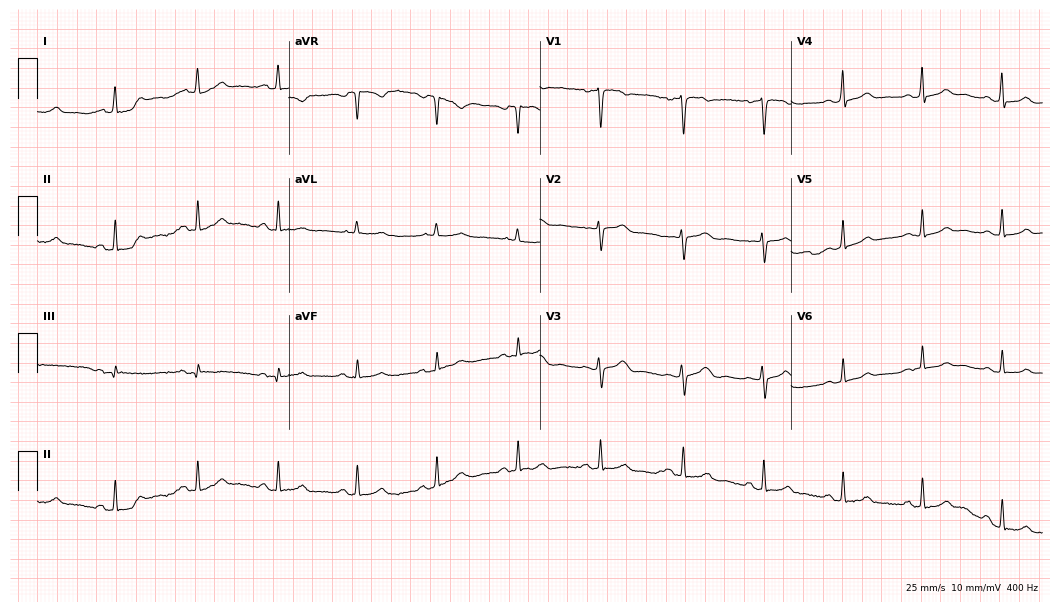
ECG — a 51-year-old female patient. Labelled as a normal ECG.